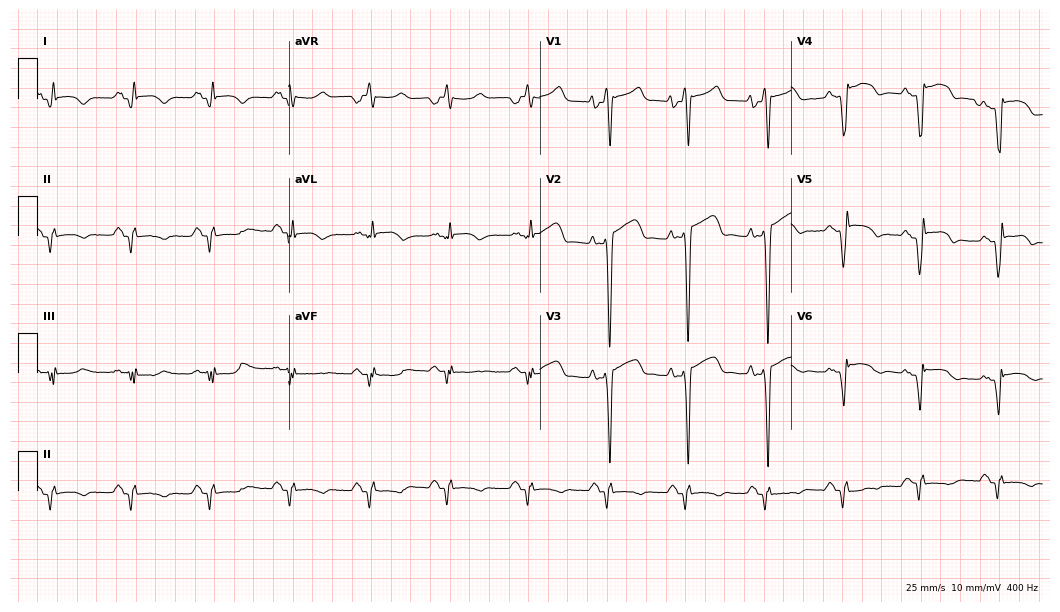
ECG — a 38-year-old male. Screened for six findings — first-degree AV block, right bundle branch block, left bundle branch block, sinus bradycardia, atrial fibrillation, sinus tachycardia — none is recorded. Only these six findings were labelled.